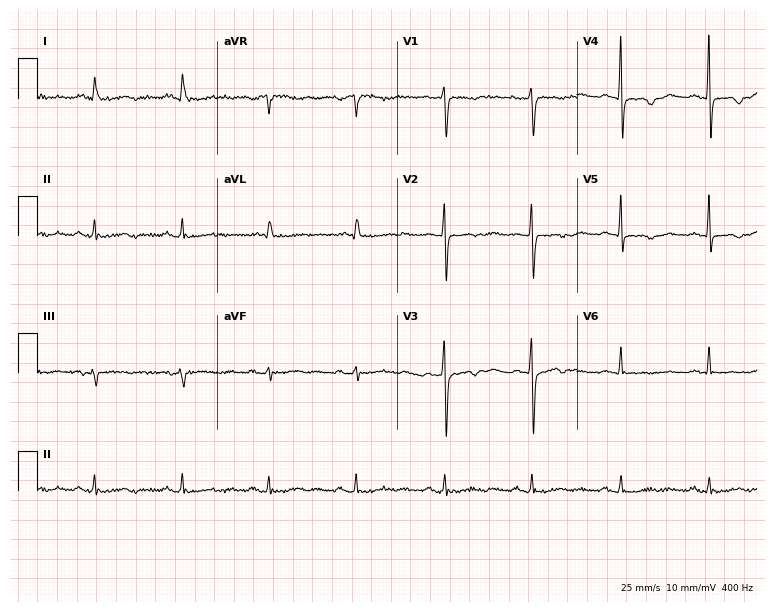
Resting 12-lead electrocardiogram. Patient: a woman, 65 years old. None of these six findings is recorded: first-degree AV block, right bundle branch block (RBBB), left bundle branch block (LBBB), sinus bradycardia, atrial fibrillation (AF), sinus tachycardia. Other findings, if any, are not listed.